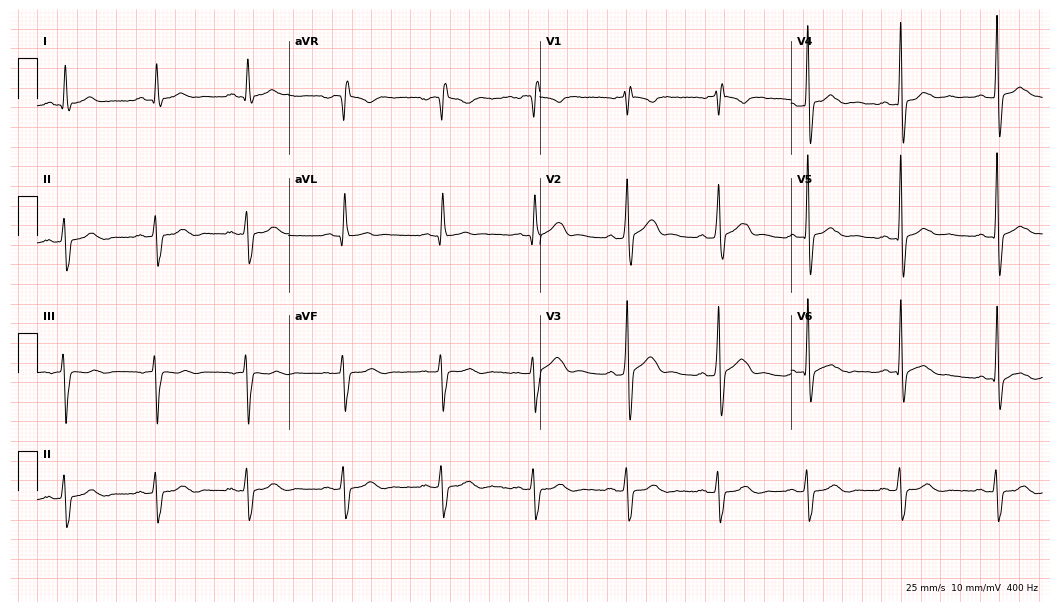
Resting 12-lead electrocardiogram. Patient: a 31-year-old man. None of these six findings is recorded: first-degree AV block, right bundle branch block (RBBB), left bundle branch block (LBBB), sinus bradycardia, atrial fibrillation (AF), sinus tachycardia.